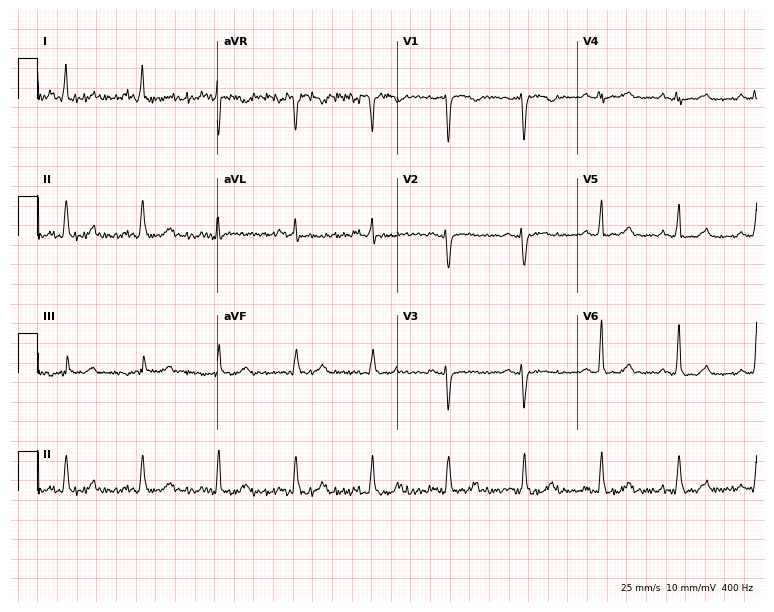
Electrocardiogram, a 65-year-old female. Of the six screened findings (first-degree AV block, right bundle branch block, left bundle branch block, sinus bradycardia, atrial fibrillation, sinus tachycardia), none is recorded. Other findings, if any, are not listed.